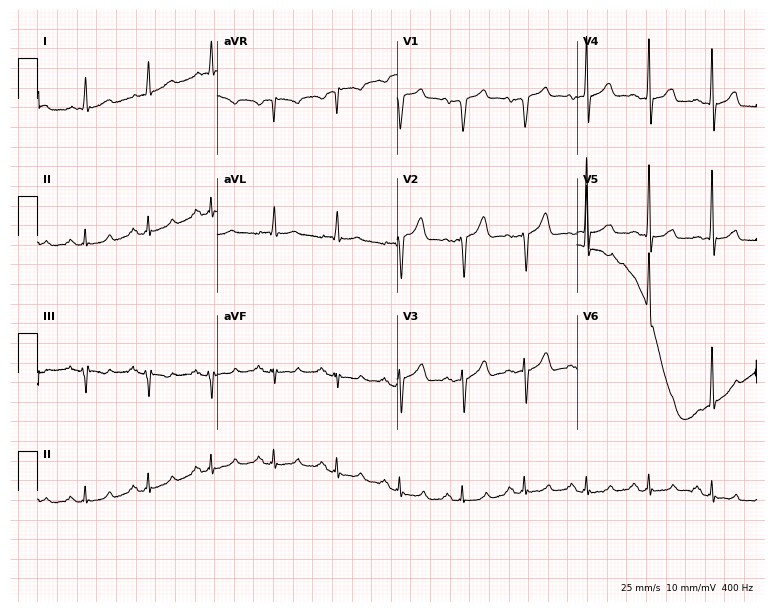
12-lead ECG from a 70-year-old male patient (7.3-second recording at 400 Hz). No first-degree AV block, right bundle branch block, left bundle branch block, sinus bradycardia, atrial fibrillation or sinus tachycardia recorded for this tracing. Other findings, if any, are not listed.